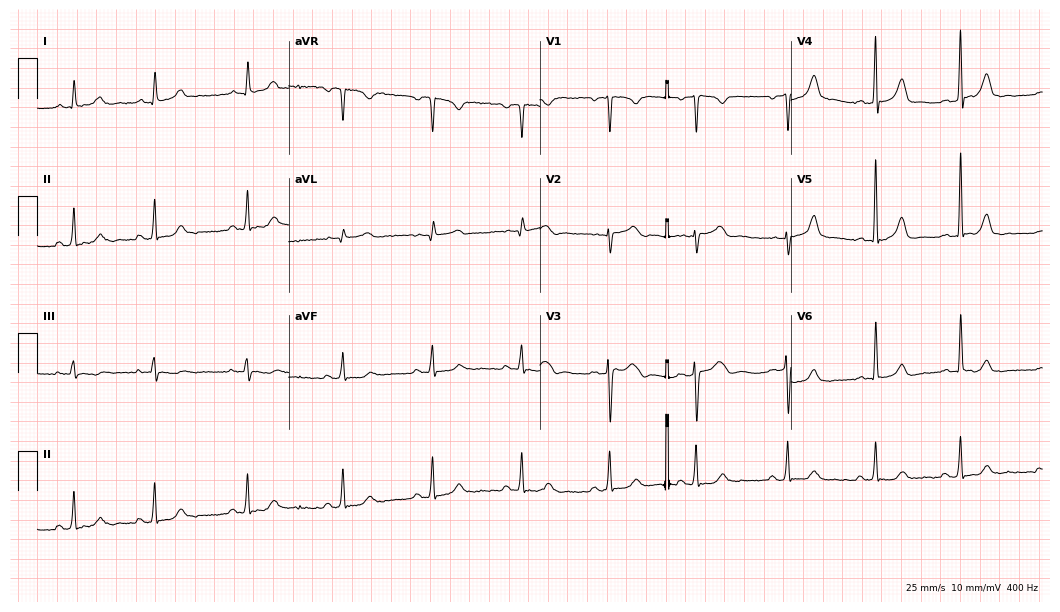
ECG (10.2-second recording at 400 Hz) — a 30-year-old female patient. Labelled as a normal ECG.